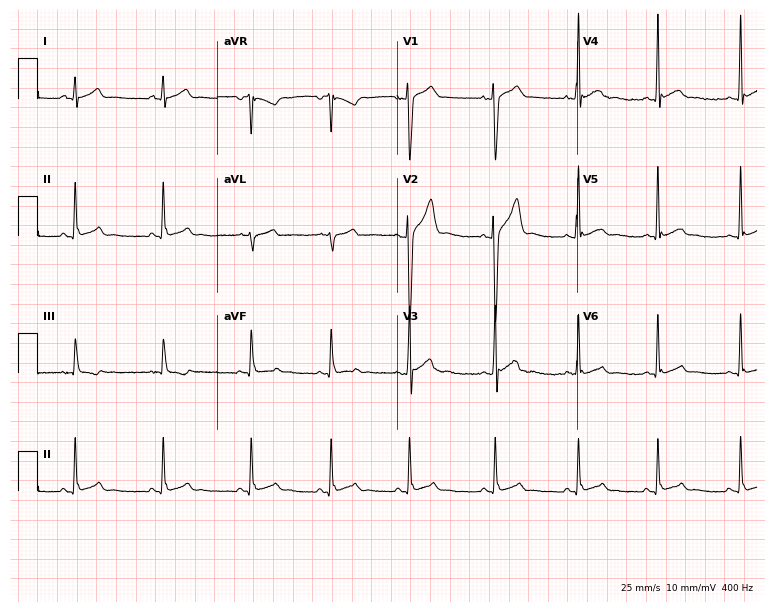
12-lead ECG (7.3-second recording at 400 Hz) from a 19-year-old man. Labelled as a normal ECG.